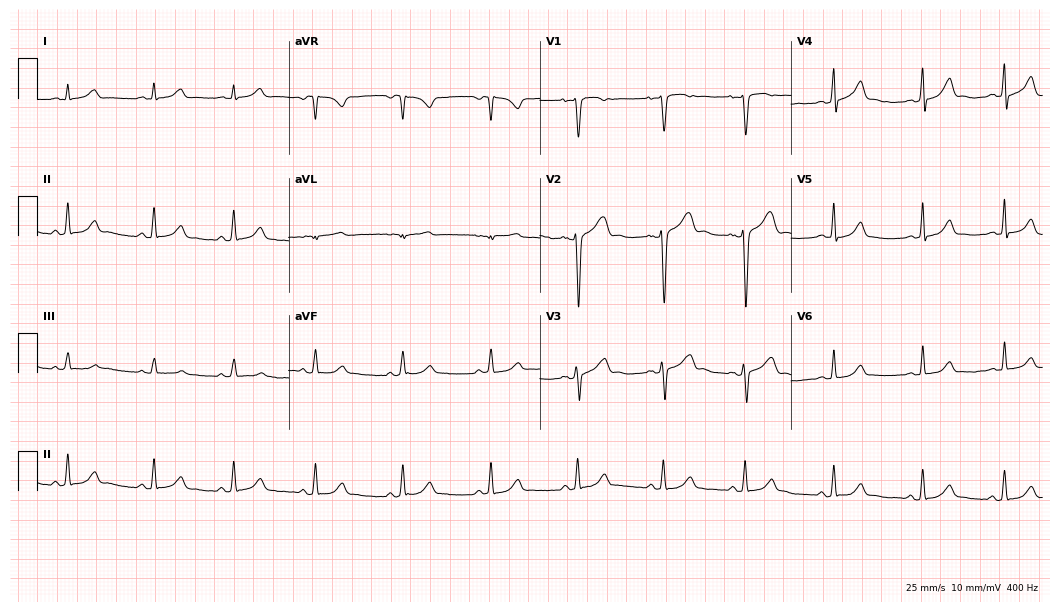
12-lead ECG from a female, 21 years old (10.2-second recording at 400 Hz). No first-degree AV block, right bundle branch block (RBBB), left bundle branch block (LBBB), sinus bradycardia, atrial fibrillation (AF) or sinus tachycardia recorded for this tracing. Only these six findings were labelled.